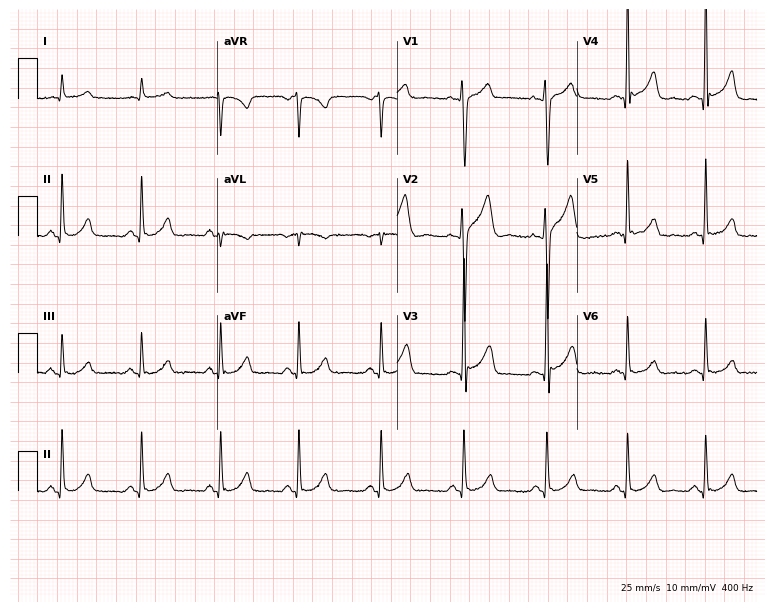
Electrocardiogram, a male patient, 57 years old. Overall reading on record: normal ECG.